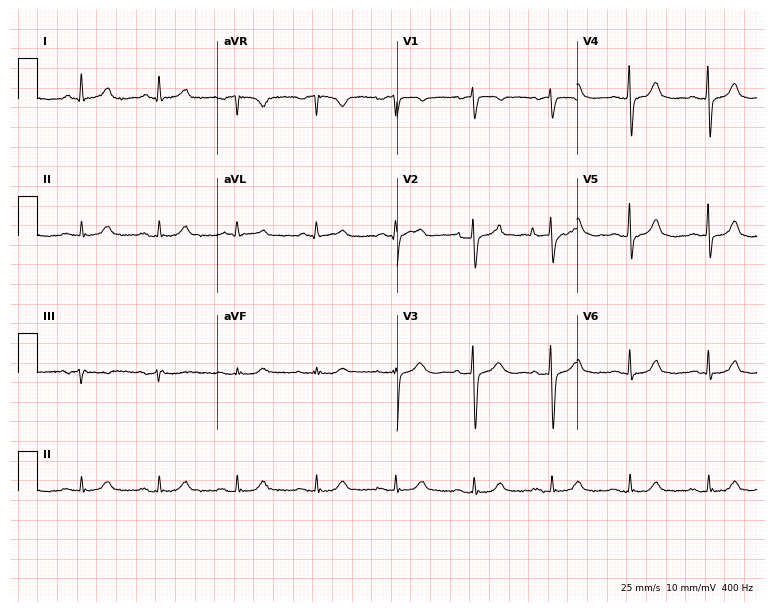
Standard 12-lead ECG recorded from a female patient, 75 years old (7.3-second recording at 400 Hz). Read as a normal ECG.